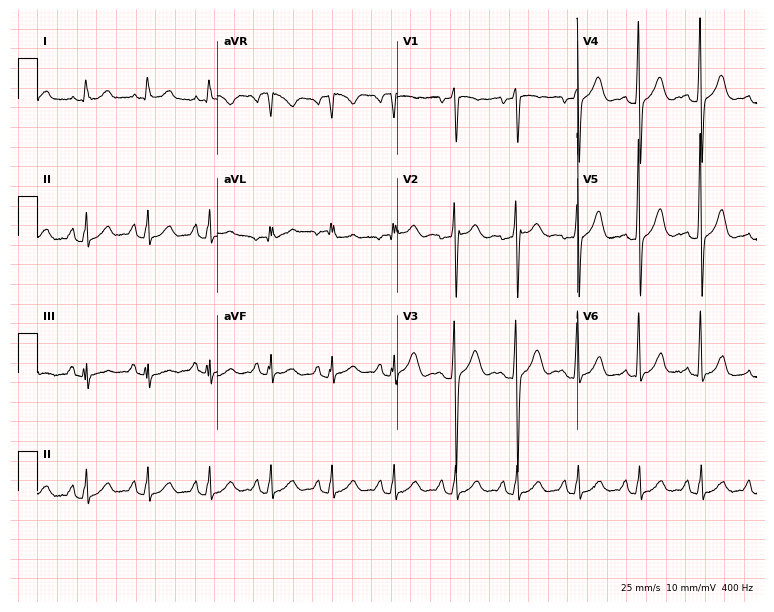
Electrocardiogram, a 32-year-old male. Of the six screened findings (first-degree AV block, right bundle branch block (RBBB), left bundle branch block (LBBB), sinus bradycardia, atrial fibrillation (AF), sinus tachycardia), none is recorded. Other findings, if any, are not listed.